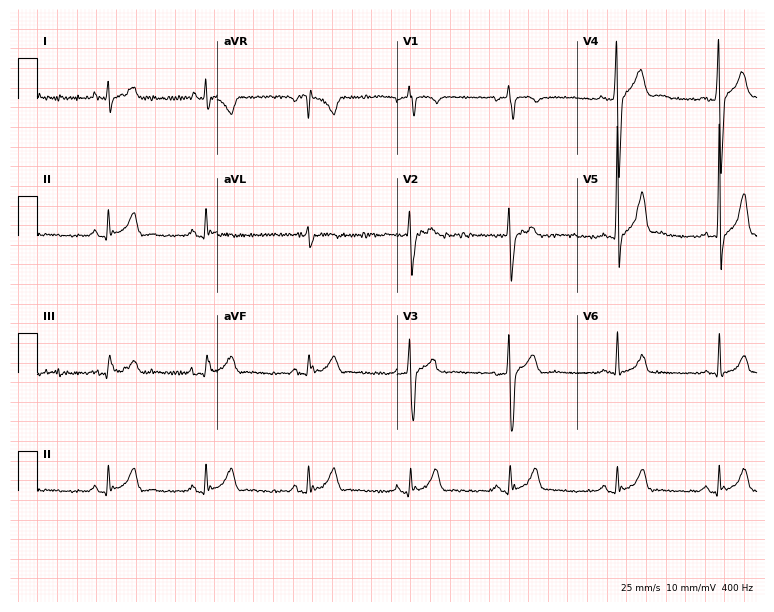
Electrocardiogram, a man, 17 years old. Of the six screened findings (first-degree AV block, right bundle branch block, left bundle branch block, sinus bradycardia, atrial fibrillation, sinus tachycardia), none is recorded. Findings outside these six are not listed.